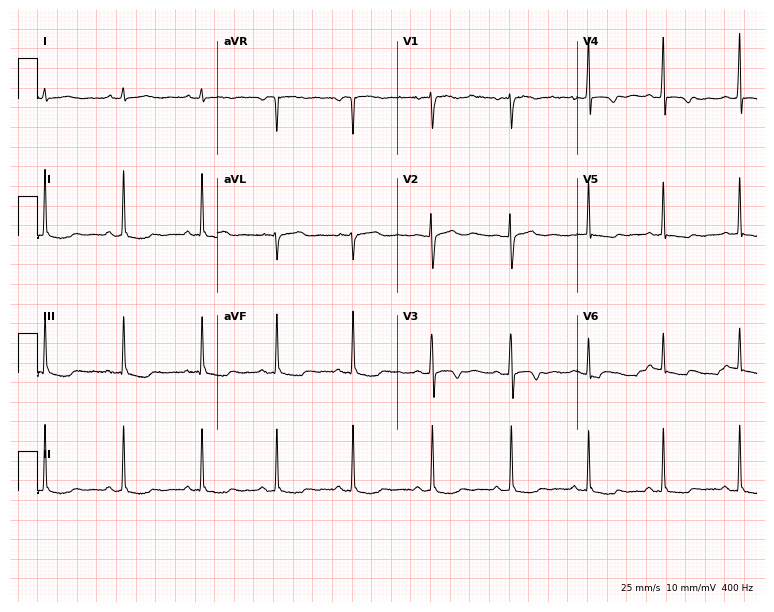
12-lead ECG from a female, 28 years old (7.3-second recording at 400 Hz). No first-degree AV block, right bundle branch block (RBBB), left bundle branch block (LBBB), sinus bradycardia, atrial fibrillation (AF) or sinus tachycardia recorded for this tracing. Other findings, if any, are not listed.